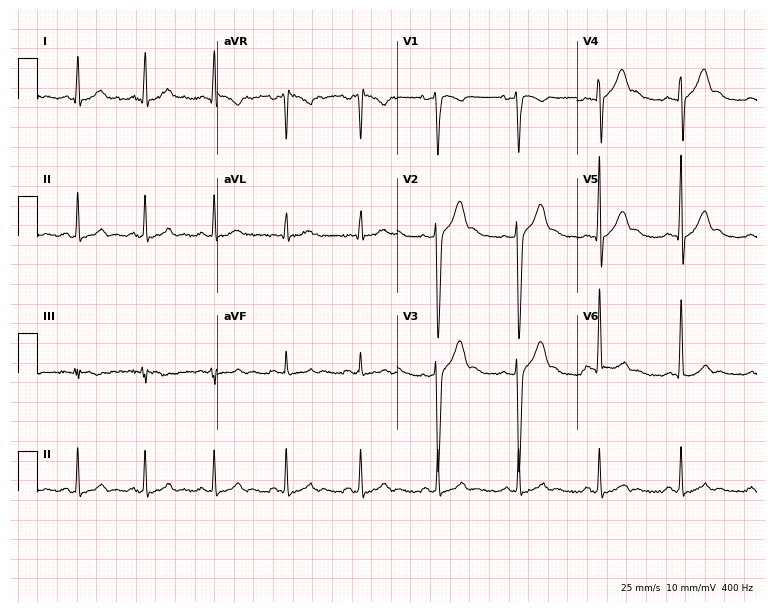
12-lead ECG from a man, 58 years old. Screened for six findings — first-degree AV block, right bundle branch block, left bundle branch block, sinus bradycardia, atrial fibrillation, sinus tachycardia — none is recorded.